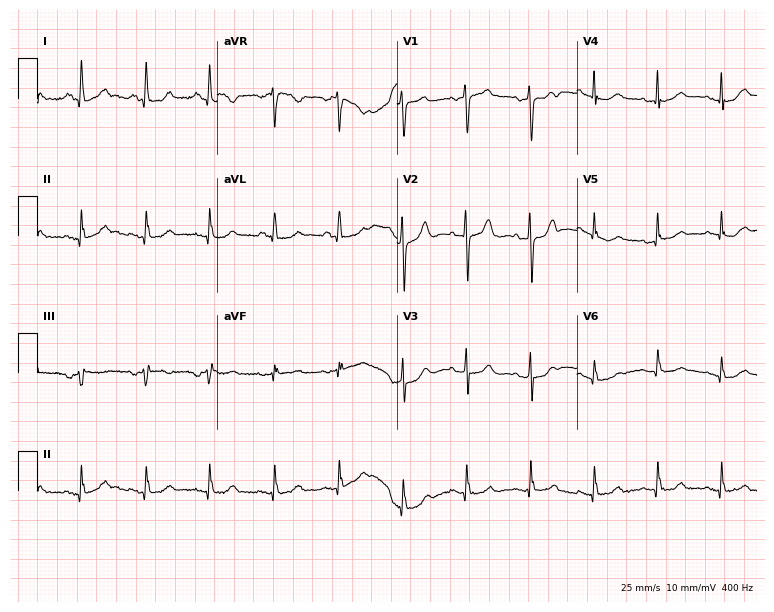
12-lead ECG (7.3-second recording at 400 Hz) from a female, 77 years old. Screened for six findings — first-degree AV block, right bundle branch block, left bundle branch block, sinus bradycardia, atrial fibrillation, sinus tachycardia — none is recorded.